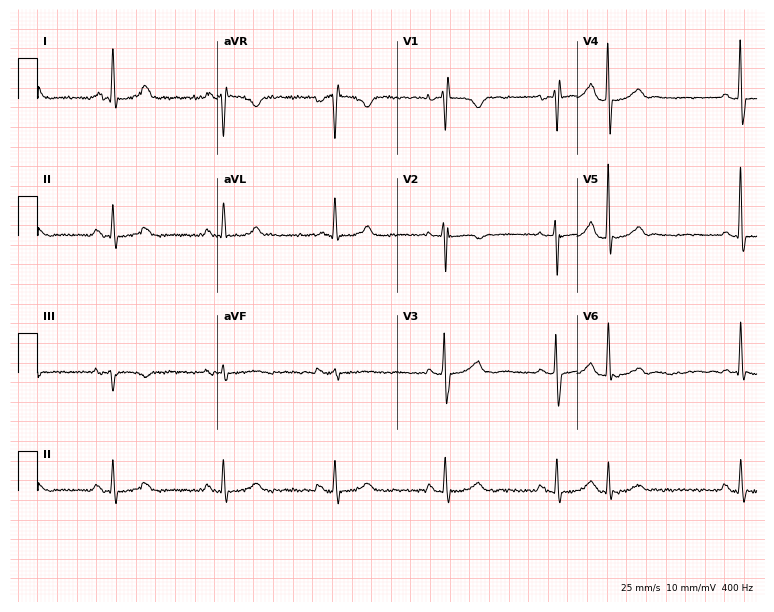
12-lead ECG from a 70-year-old female. Labelled as a normal ECG.